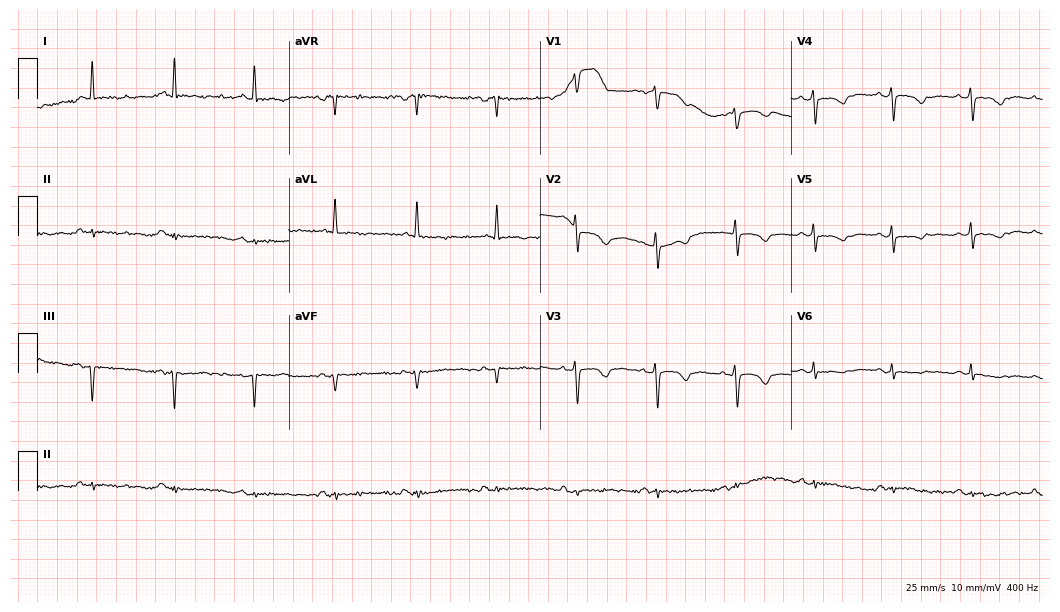
12-lead ECG from a 73-year-old female patient (10.2-second recording at 400 Hz). No first-degree AV block, right bundle branch block, left bundle branch block, sinus bradycardia, atrial fibrillation or sinus tachycardia recorded for this tracing.